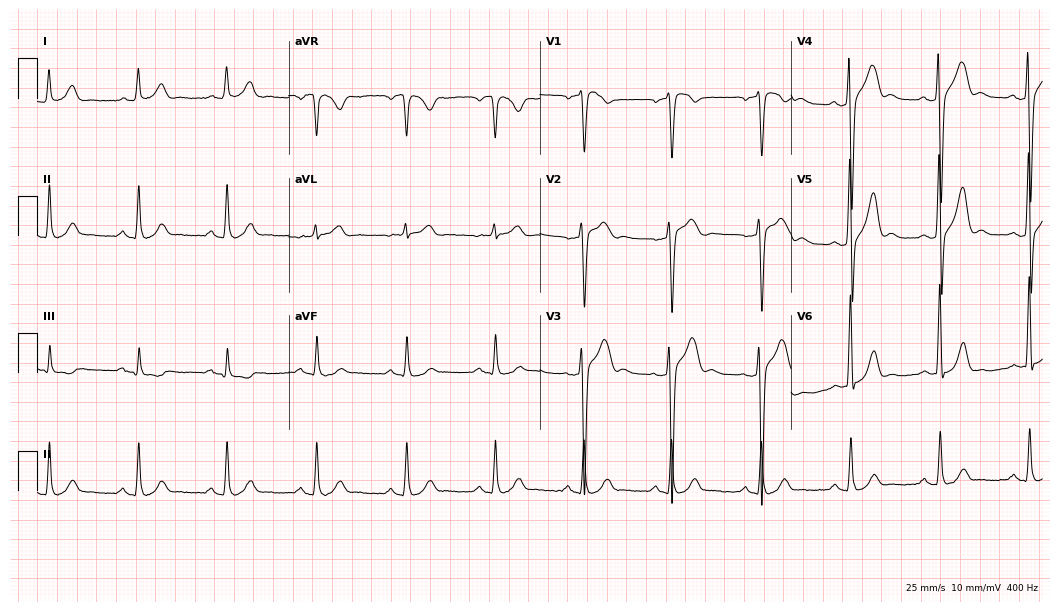
Electrocardiogram, a male patient, 65 years old. Of the six screened findings (first-degree AV block, right bundle branch block, left bundle branch block, sinus bradycardia, atrial fibrillation, sinus tachycardia), none is recorded.